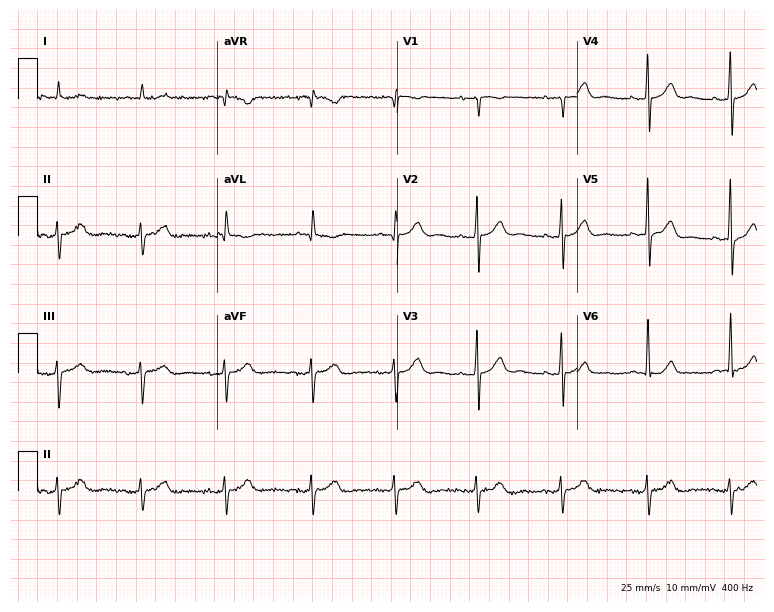
ECG (7.3-second recording at 400 Hz) — an 82-year-old male. Screened for six findings — first-degree AV block, right bundle branch block, left bundle branch block, sinus bradycardia, atrial fibrillation, sinus tachycardia — none is recorded. Only these six findings were labelled.